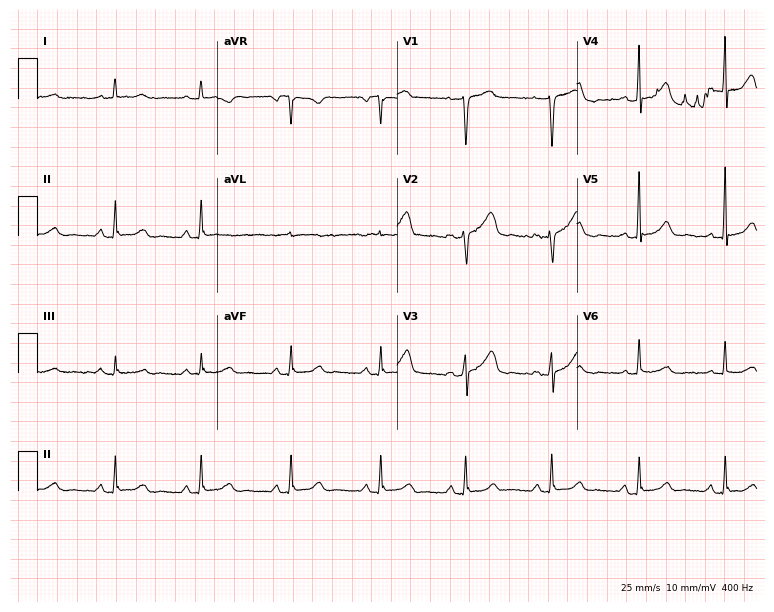
12-lead ECG from a 43-year-old female (7.3-second recording at 400 Hz). No first-degree AV block, right bundle branch block, left bundle branch block, sinus bradycardia, atrial fibrillation or sinus tachycardia recorded for this tracing.